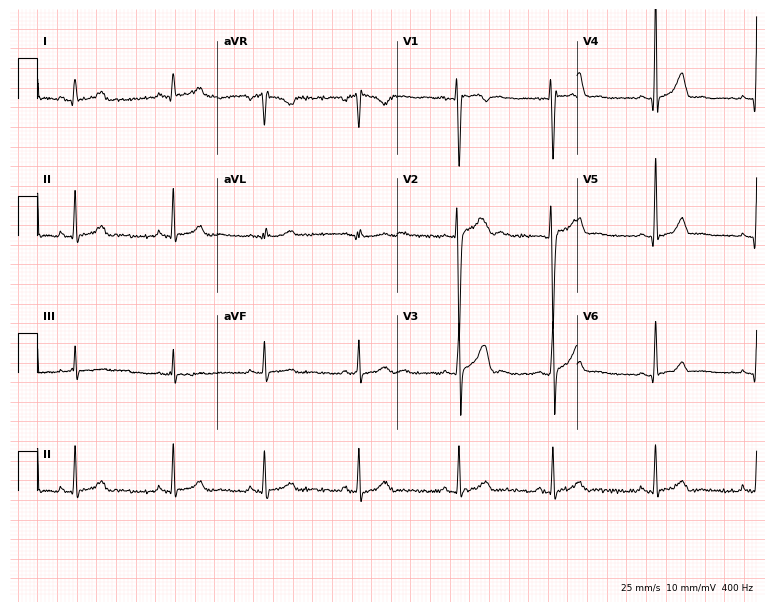
Standard 12-lead ECG recorded from a man, 18 years old (7.3-second recording at 400 Hz). Read as a normal ECG.